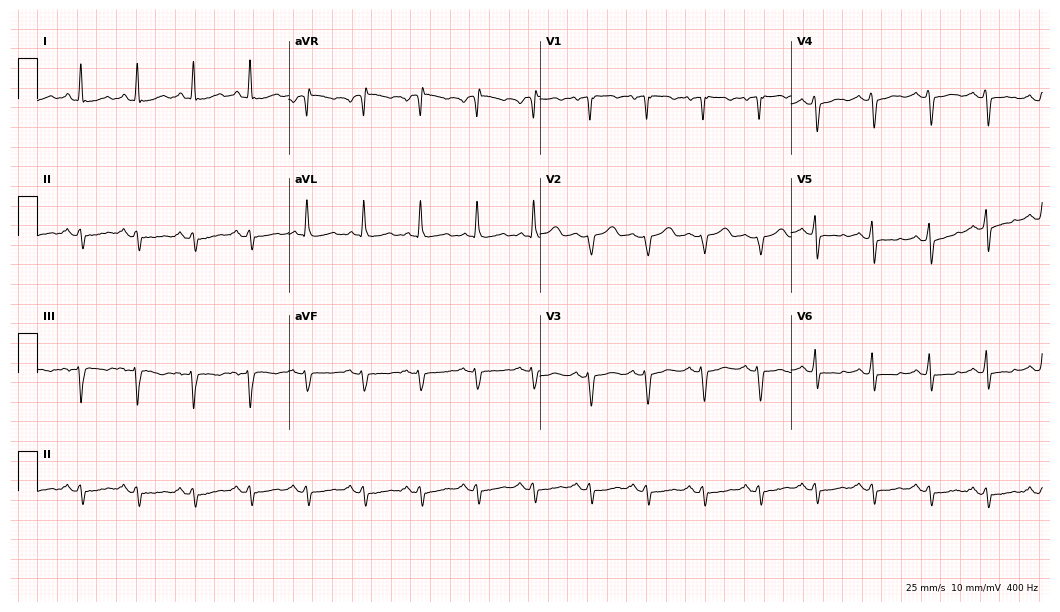
ECG — a female, 69 years old. Screened for six findings — first-degree AV block, right bundle branch block (RBBB), left bundle branch block (LBBB), sinus bradycardia, atrial fibrillation (AF), sinus tachycardia — none is recorded. Only these six findings were labelled.